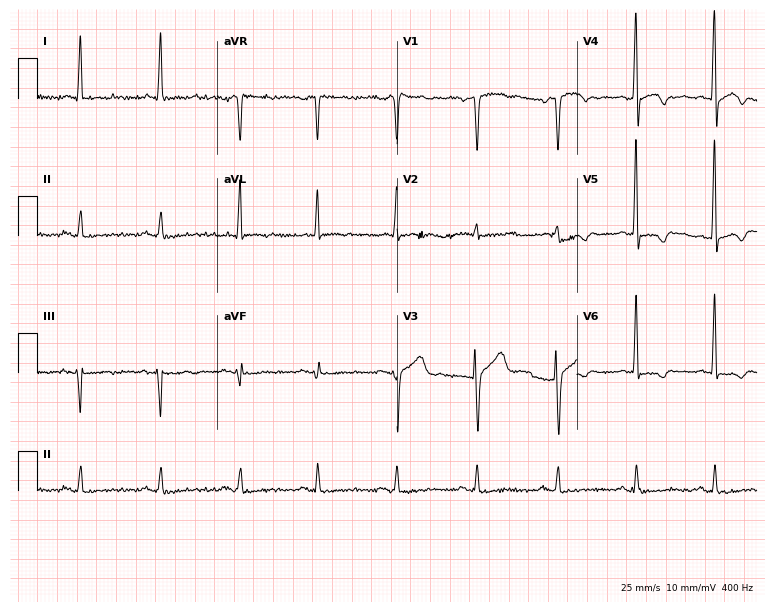
Standard 12-lead ECG recorded from a male, 60 years old (7.3-second recording at 400 Hz). None of these six findings is recorded: first-degree AV block, right bundle branch block (RBBB), left bundle branch block (LBBB), sinus bradycardia, atrial fibrillation (AF), sinus tachycardia. Findings outside these six are not listed.